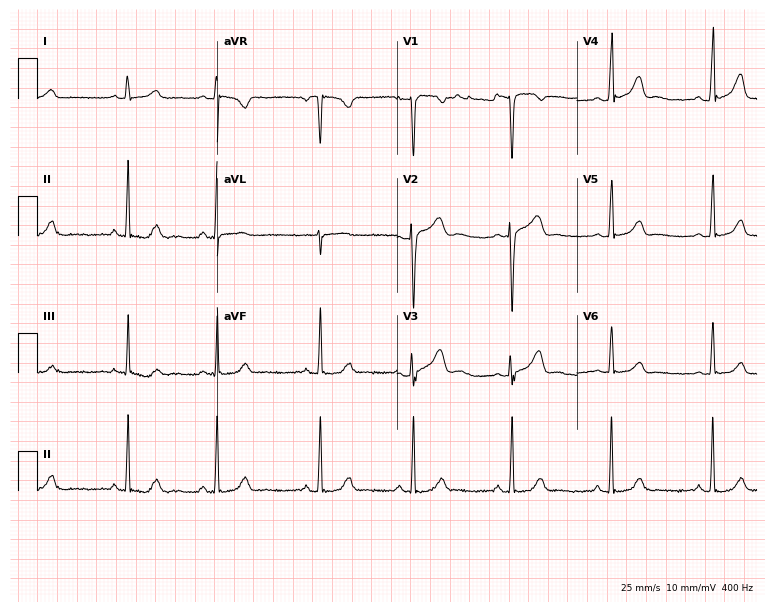
12-lead ECG from a 19-year-old female (7.3-second recording at 400 Hz). Recorded interpretation: within normal limits.